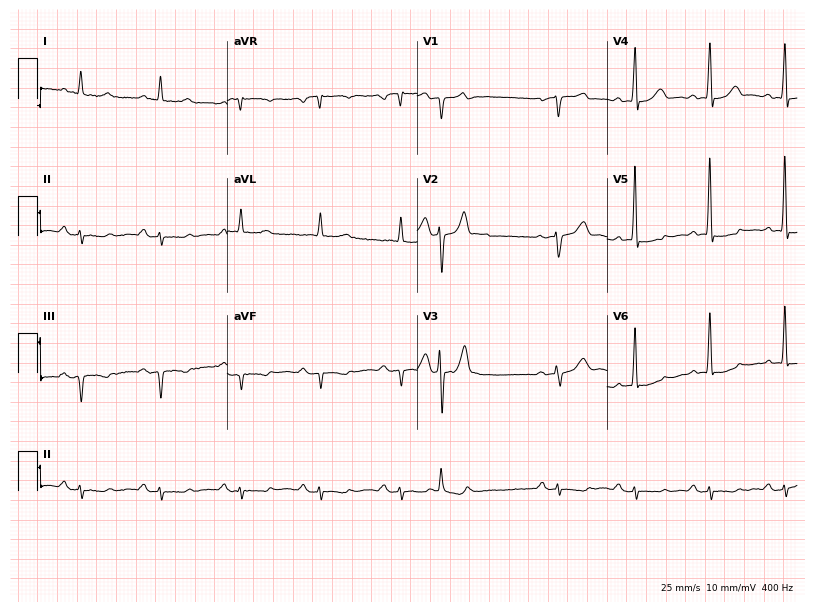
Standard 12-lead ECG recorded from a male patient, 68 years old (7.7-second recording at 400 Hz). None of these six findings is recorded: first-degree AV block, right bundle branch block (RBBB), left bundle branch block (LBBB), sinus bradycardia, atrial fibrillation (AF), sinus tachycardia.